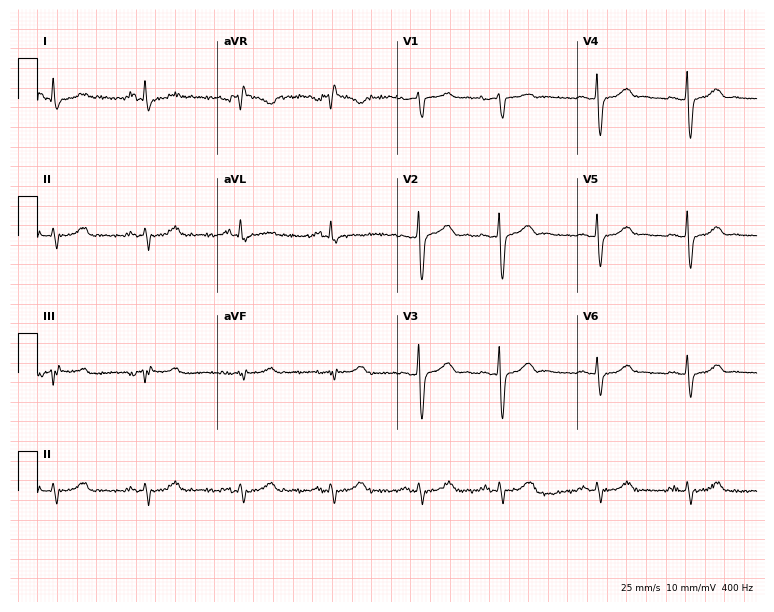
12-lead ECG from a woman, 56 years old. No first-degree AV block, right bundle branch block (RBBB), left bundle branch block (LBBB), sinus bradycardia, atrial fibrillation (AF) or sinus tachycardia recorded for this tracing. Findings outside these six are not listed.